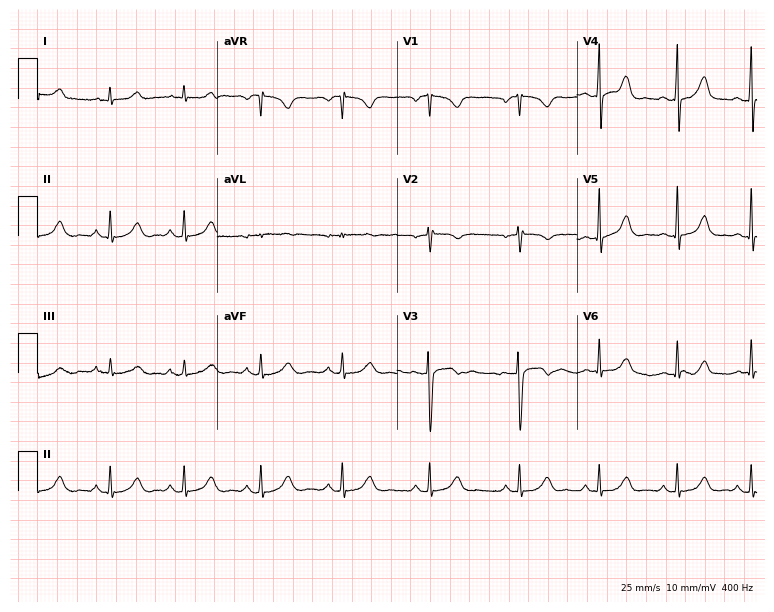
Resting 12-lead electrocardiogram. Patient: a 28-year-old female. Read as a normal ECG.